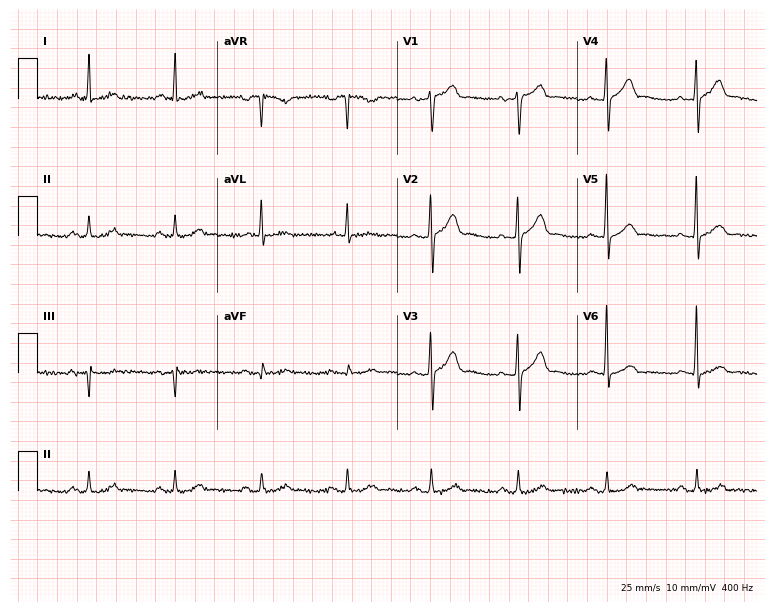
12-lead ECG from a male, 67 years old. No first-degree AV block, right bundle branch block, left bundle branch block, sinus bradycardia, atrial fibrillation or sinus tachycardia recorded for this tracing. Findings outside these six are not listed.